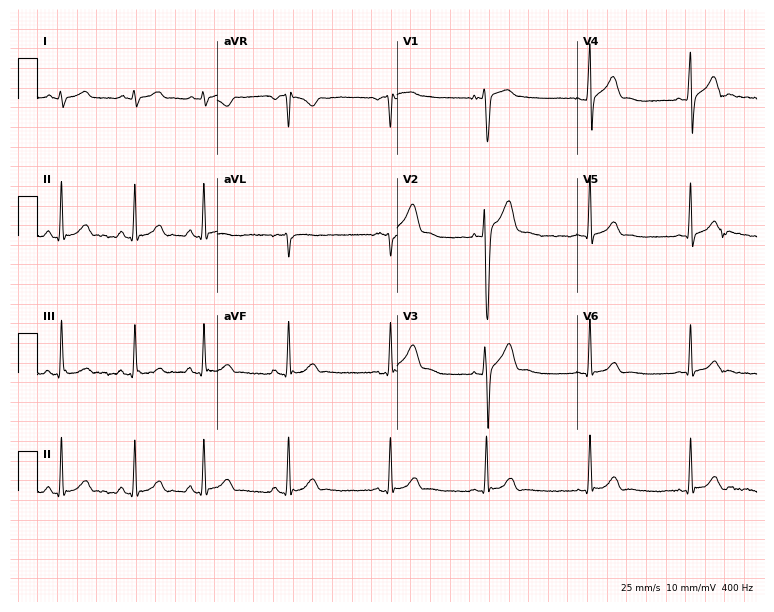
ECG (7.3-second recording at 400 Hz) — a male patient, 27 years old. Labelled as a normal ECG.